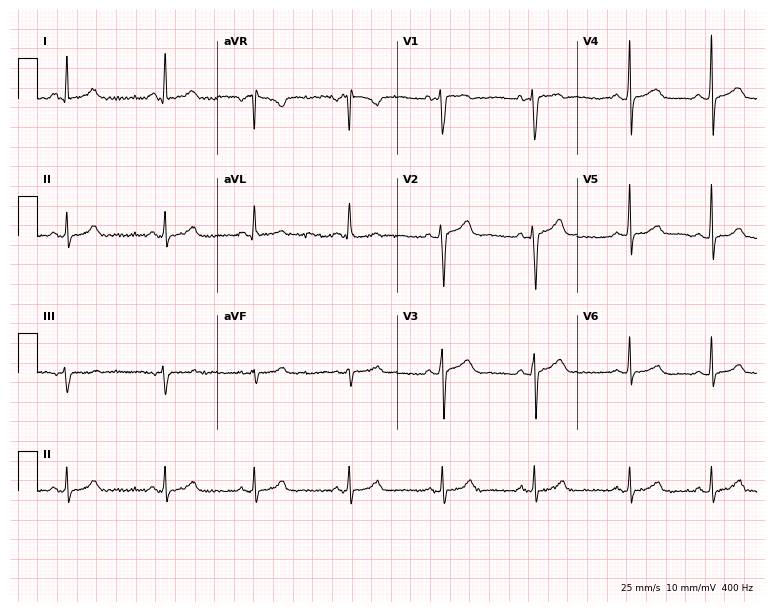
ECG — a 36-year-old woman. Screened for six findings — first-degree AV block, right bundle branch block, left bundle branch block, sinus bradycardia, atrial fibrillation, sinus tachycardia — none is recorded.